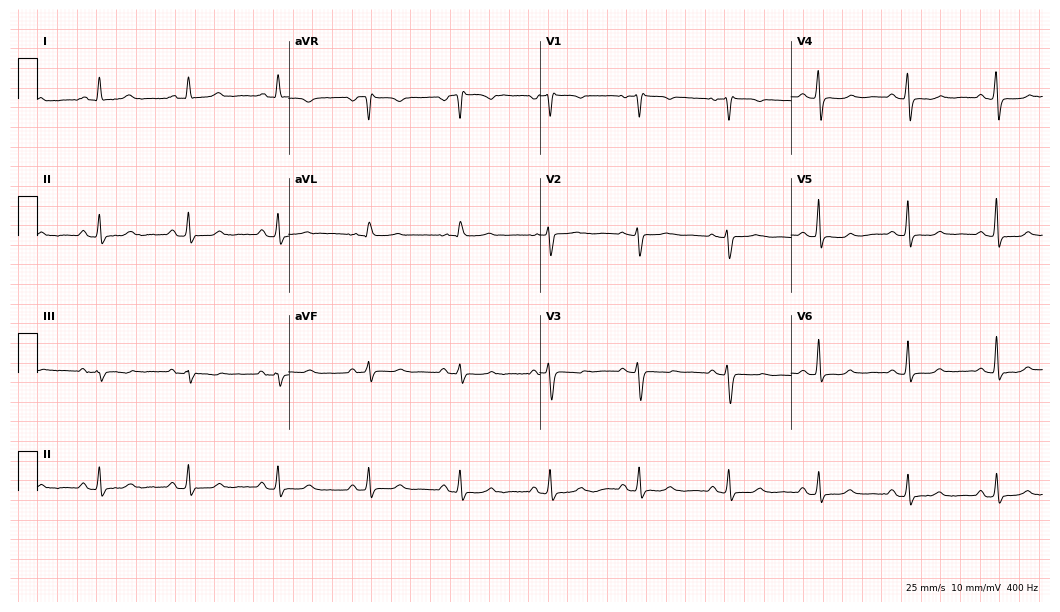
Electrocardiogram (10.2-second recording at 400 Hz), a female patient, 71 years old. Of the six screened findings (first-degree AV block, right bundle branch block (RBBB), left bundle branch block (LBBB), sinus bradycardia, atrial fibrillation (AF), sinus tachycardia), none is recorded. Other findings, if any, are not listed.